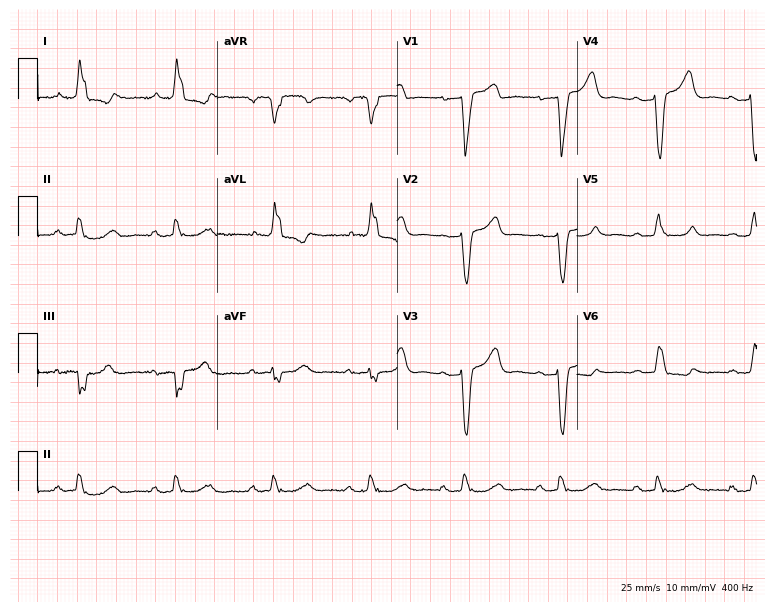
12-lead ECG from an 81-year-old female. Shows first-degree AV block, left bundle branch block.